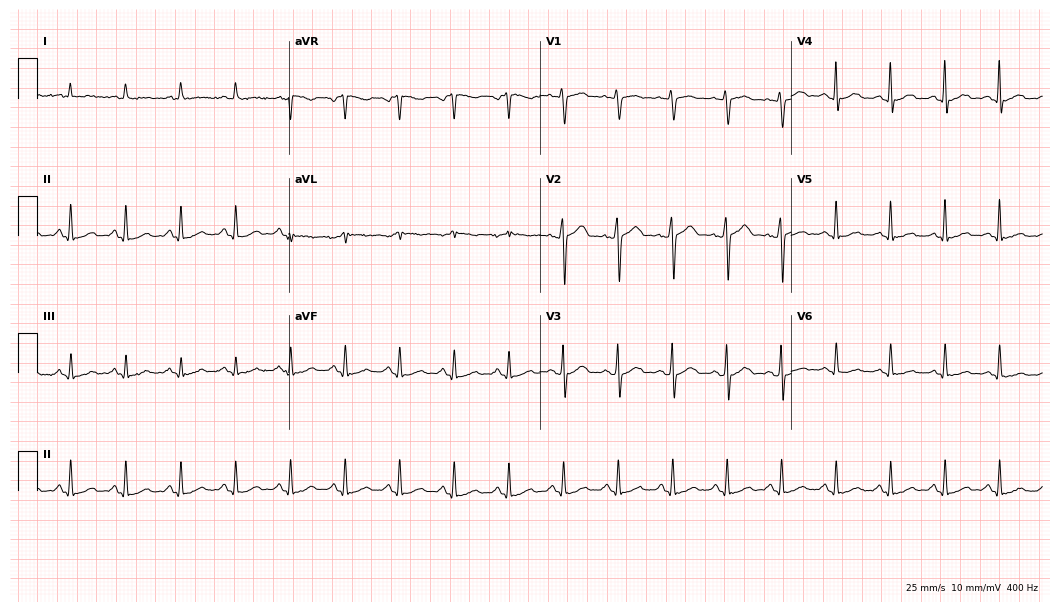
Electrocardiogram (10.2-second recording at 400 Hz), a man, 47 years old. Interpretation includes sinus tachycardia (a sinus rate of 100 beats per minute or more).